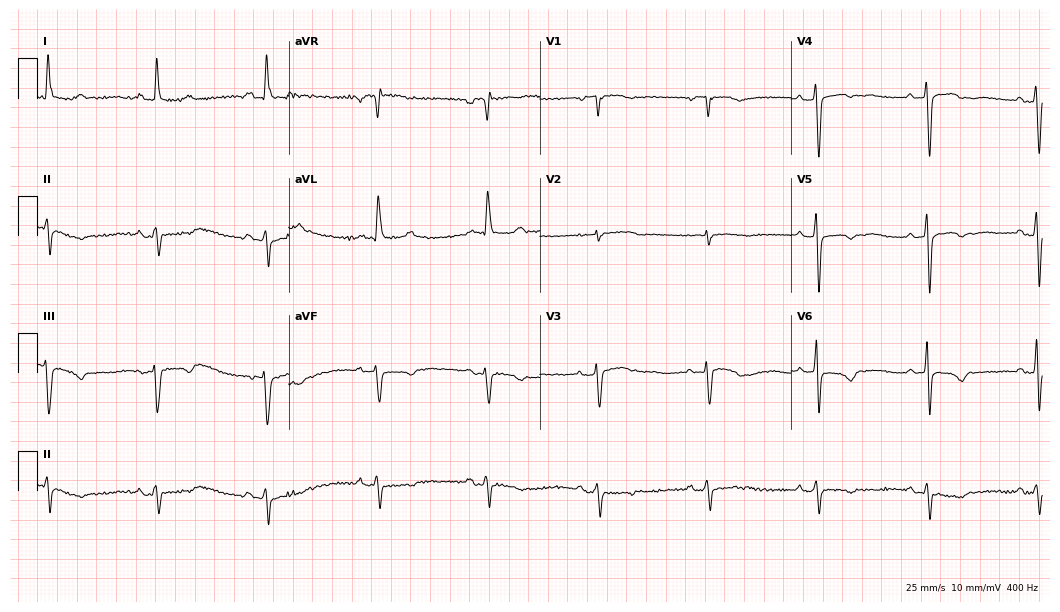
ECG — a female patient, 78 years old. Screened for six findings — first-degree AV block, right bundle branch block, left bundle branch block, sinus bradycardia, atrial fibrillation, sinus tachycardia — none is recorded.